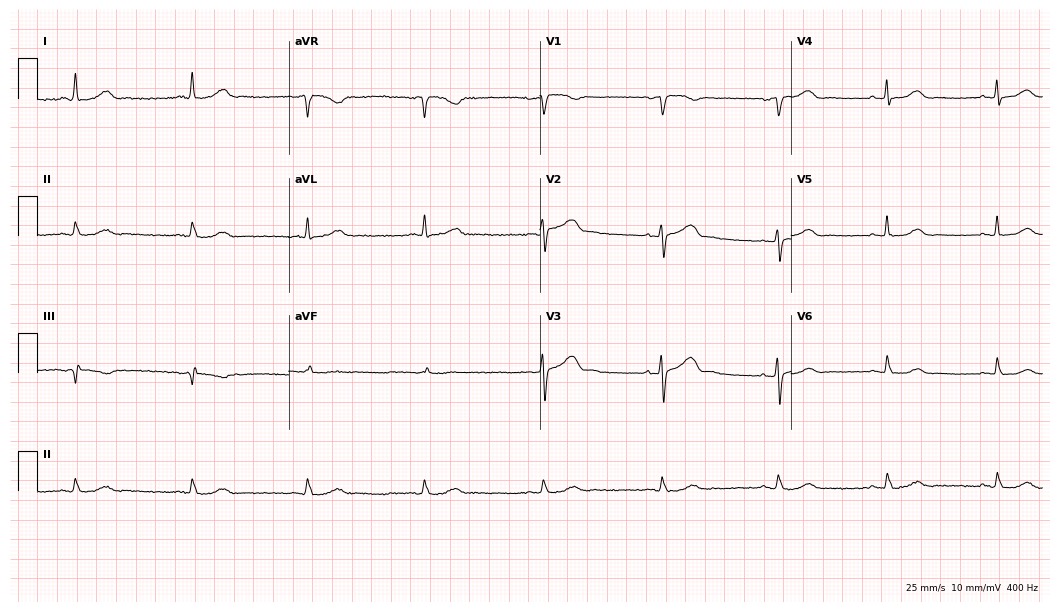
ECG — an 80-year-old female. Findings include sinus bradycardia (a sinus rate of 50 beats per minute or less).